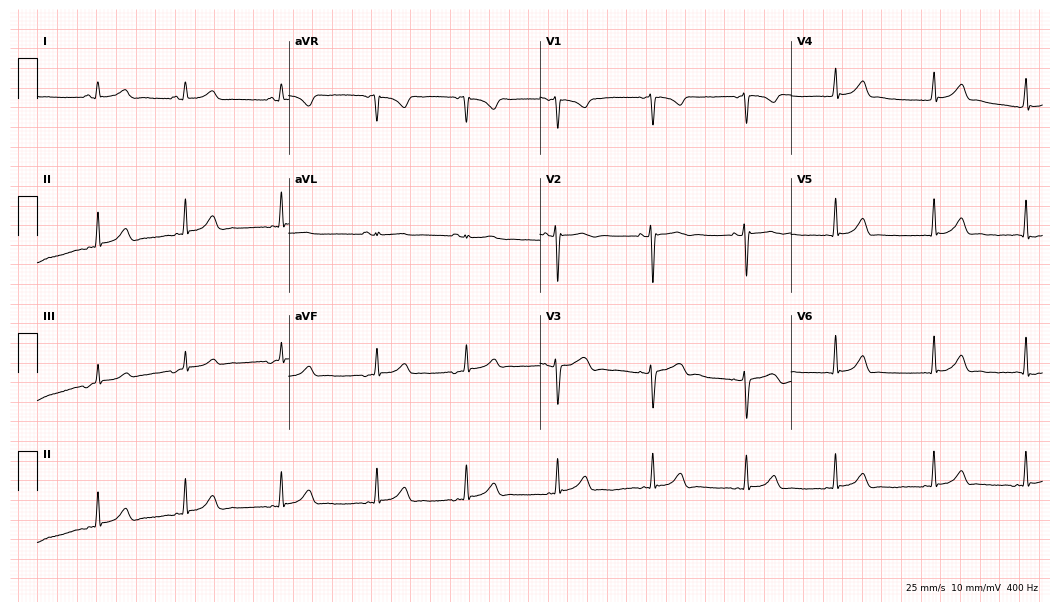
Resting 12-lead electrocardiogram. Patient: a woman, 24 years old. Read as a normal ECG.